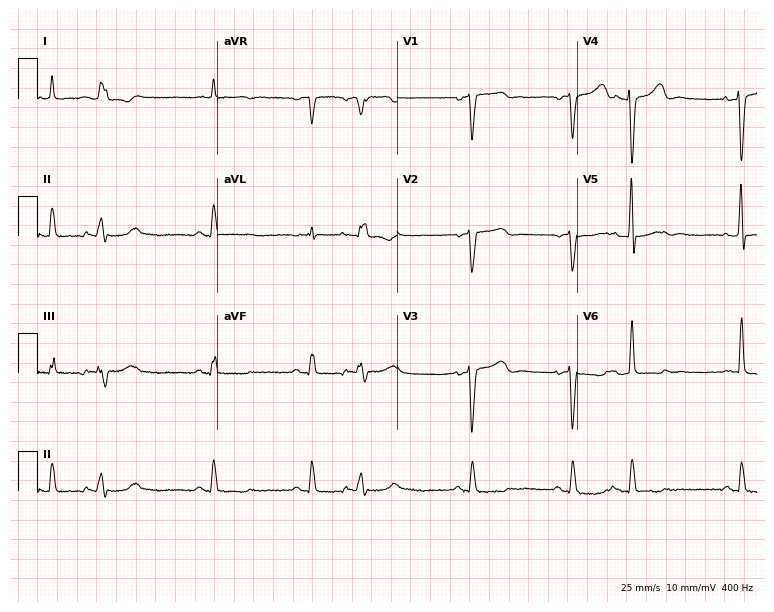
ECG — an 83-year-old woman. Screened for six findings — first-degree AV block, right bundle branch block, left bundle branch block, sinus bradycardia, atrial fibrillation, sinus tachycardia — none is recorded.